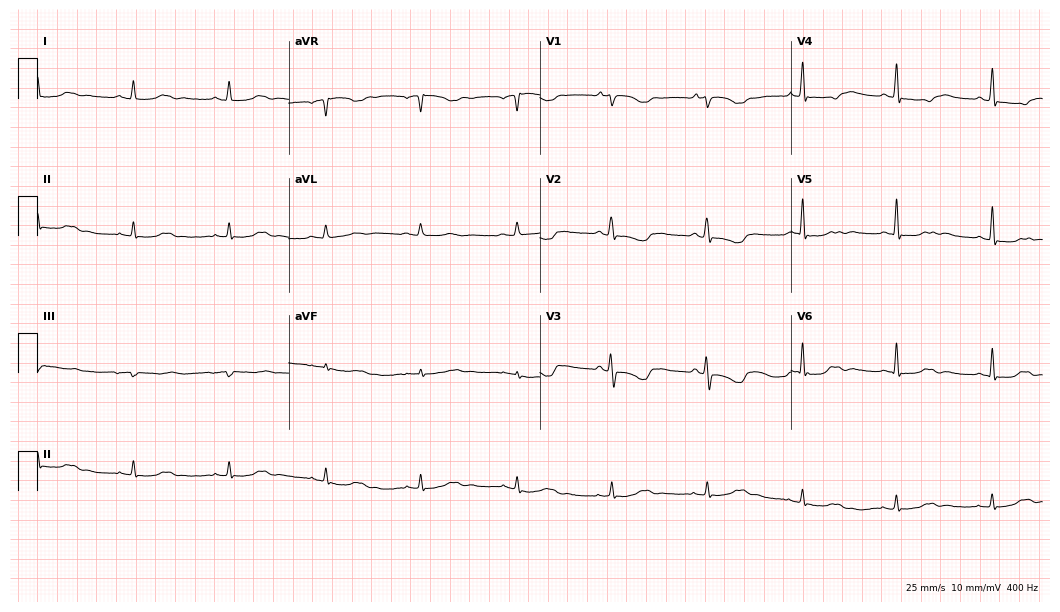
Resting 12-lead electrocardiogram. Patient: a 40-year-old female. None of these six findings is recorded: first-degree AV block, right bundle branch block, left bundle branch block, sinus bradycardia, atrial fibrillation, sinus tachycardia.